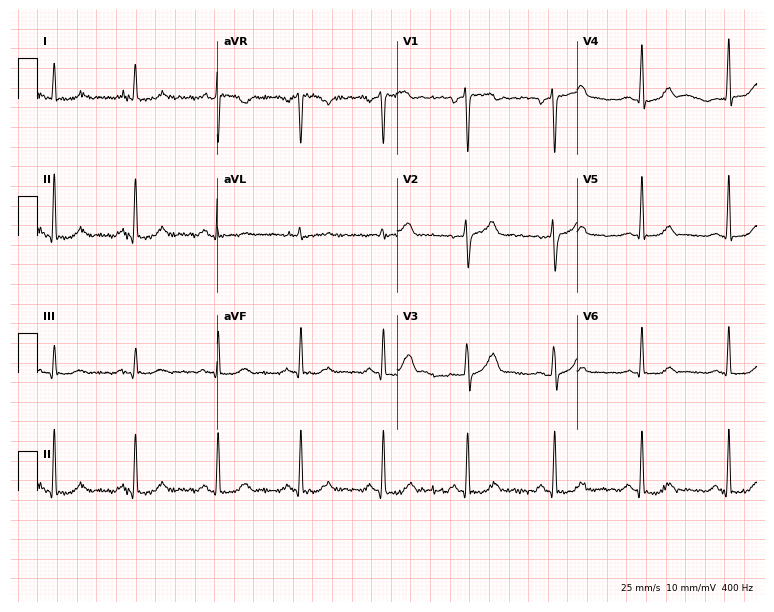
Electrocardiogram (7.3-second recording at 400 Hz), a male patient, 57 years old. Of the six screened findings (first-degree AV block, right bundle branch block, left bundle branch block, sinus bradycardia, atrial fibrillation, sinus tachycardia), none is recorded. Only these six findings were labelled.